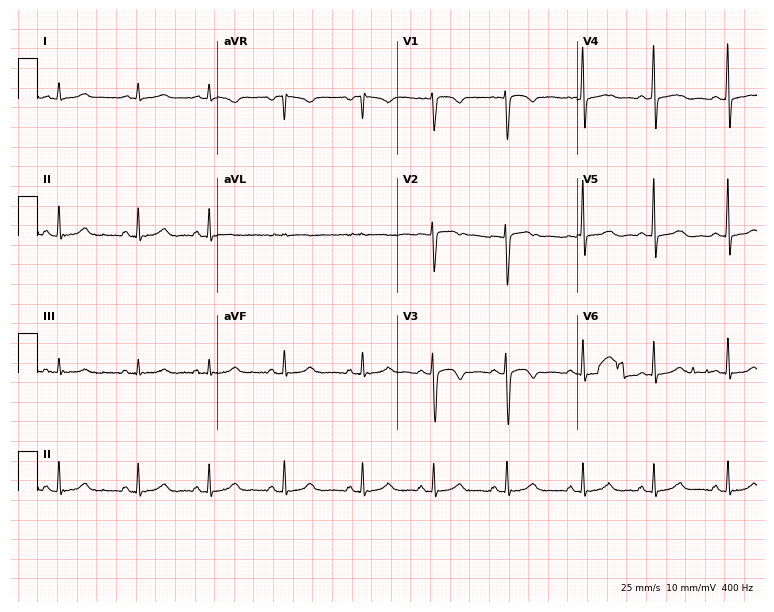
Electrocardiogram (7.3-second recording at 400 Hz), a 36-year-old female. Of the six screened findings (first-degree AV block, right bundle branch block (RBBB), left bundle branch block (LBBB), sinus bradycardia, atrial fibrillation (AF), sinus tachycardia), none is recorded. Only these six findings were labelled.